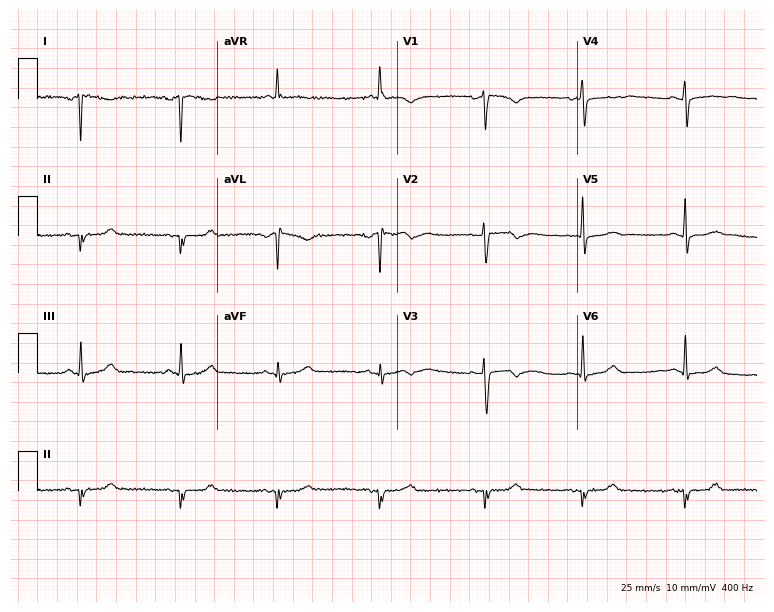
Resting 12-lead electrocardiogram. Patient: a 44-year-old female. None of these six findings is recorded: first-degree AV block, right bundle branch block, left bundle branch block, sinus bradycardia, atrial fibrillation, sinus tachycardia. Only these six findings were labelled.